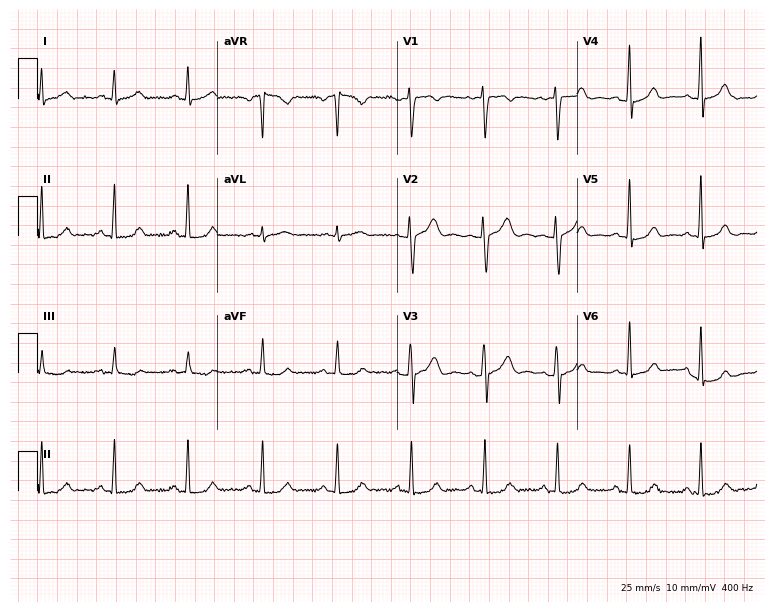
ECG — a woman, 44 years old. Labelled as a normal ECG.